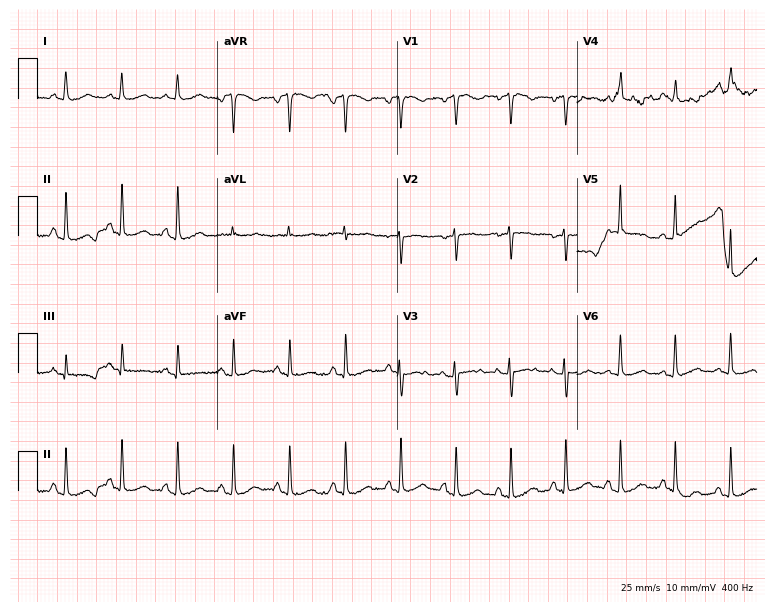
Resting 12-lead electrocardiogram. Patient: a 35-year-old female. The tracing shows sinus tachycardia (a sinus rate of 100 beats per minute or more).